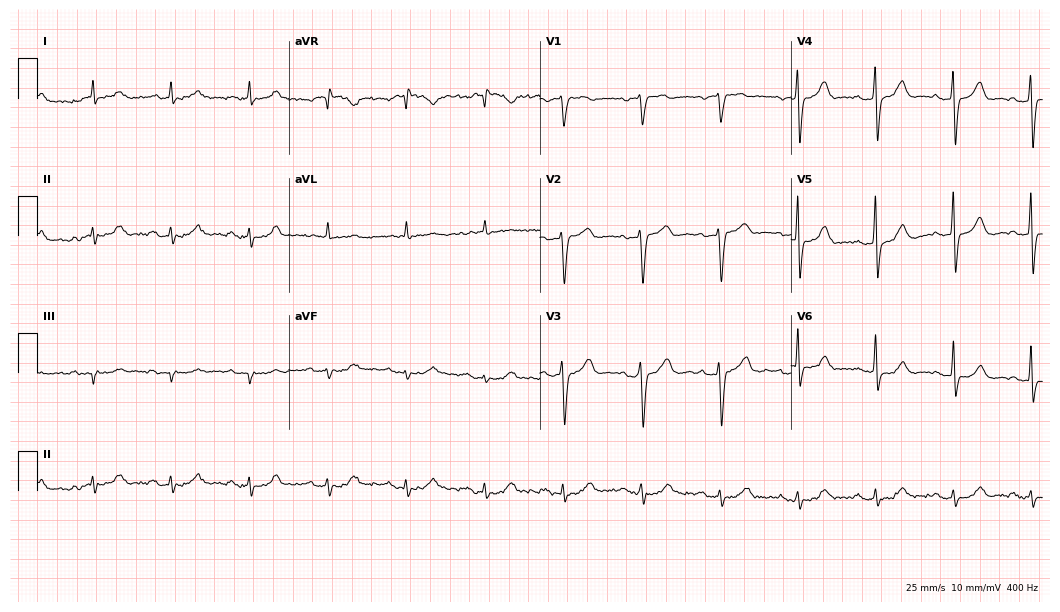
ECG — a male, 81 years old. Labelled as a normal ECG.